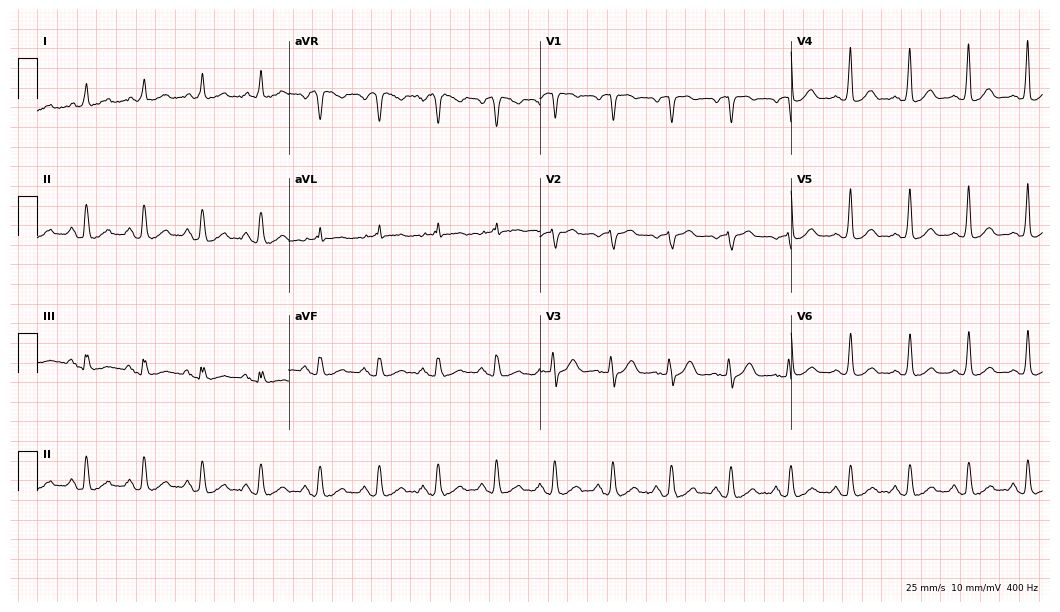
Standard 12-lead ECG recorded from a female, 73 years old. None of these six findings is recorded: first-degree AV block, right bundle branch block, left bundle branch block, sinus bradycardia, atrial fibrillation, sinus tachycardia. Findings outside these six are not listed.